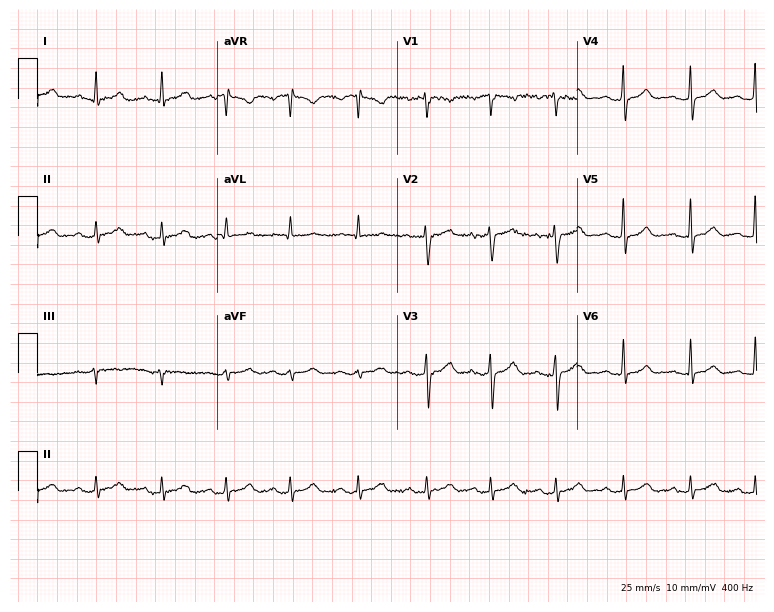
Electrocardiogram (7.3-second recording at 400 Hz), a 43-year-old woman. Overall reading on record: normal ECG.